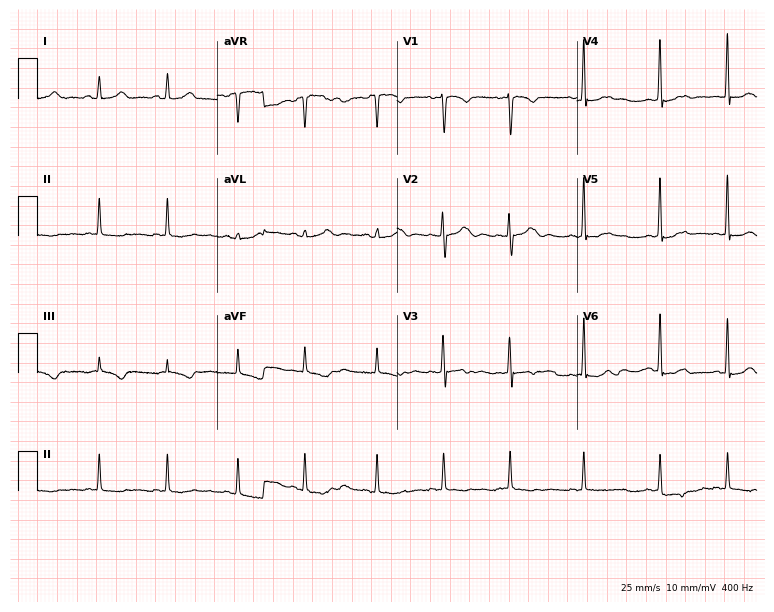
ECG (7.3-second recording at 400 Hz) — an 18-year-old female patient. Labelled as a normal ECG.